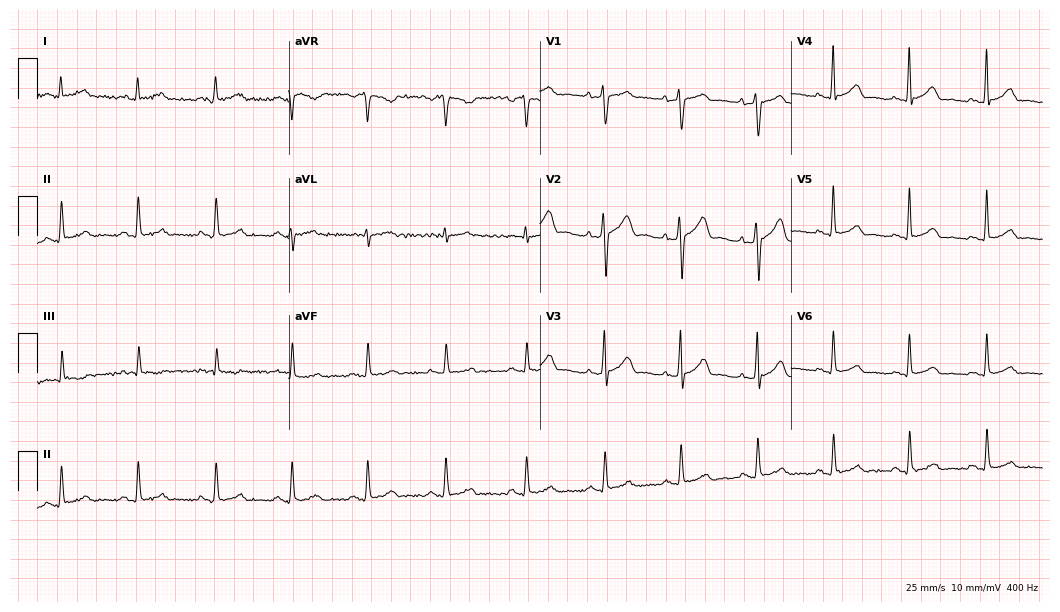
ECG — a man, 41 years old. Screened for six findings — first-degree AV block, right bundle branch block, left bundle branch block, sinus bradycardia, atrial fibrillation, sinus tachycardia — none is recorded.